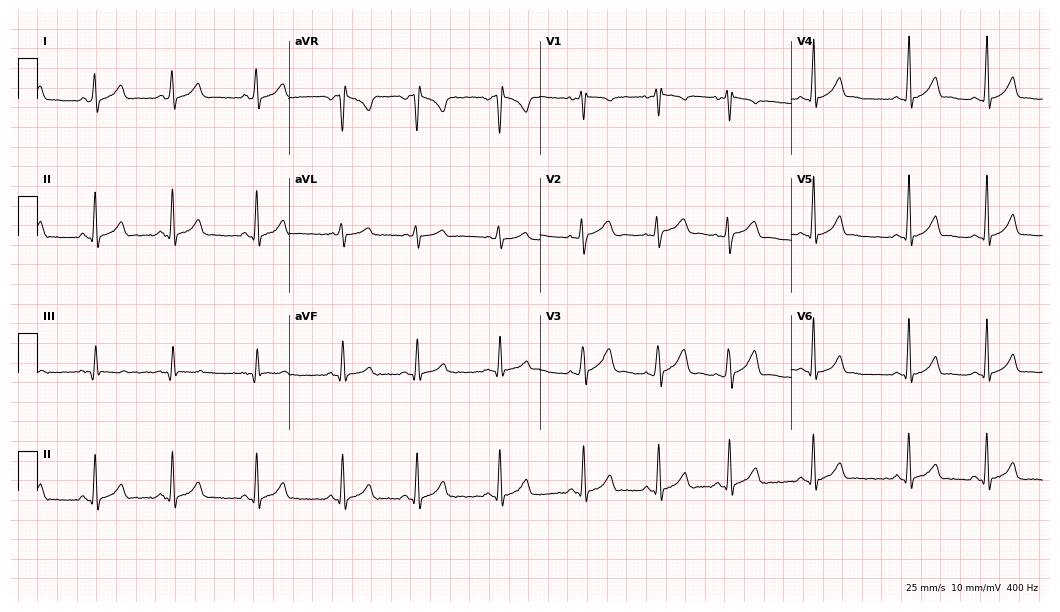
12-lead ECG from a 21-year-old female (10.2-second recording at 400 Hz). Recorded interpretation: within normal limits.